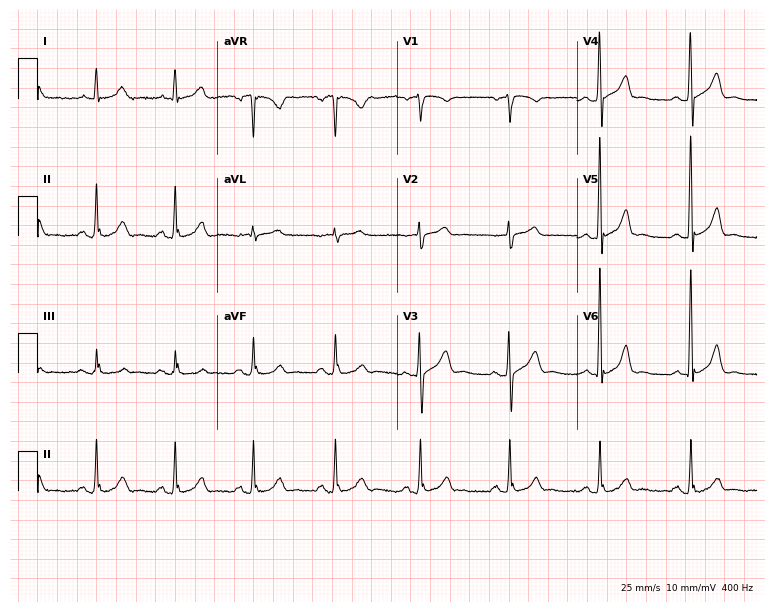
12-lead ECG from a male, 65 years old. Recorded interpretation: within normal limits.